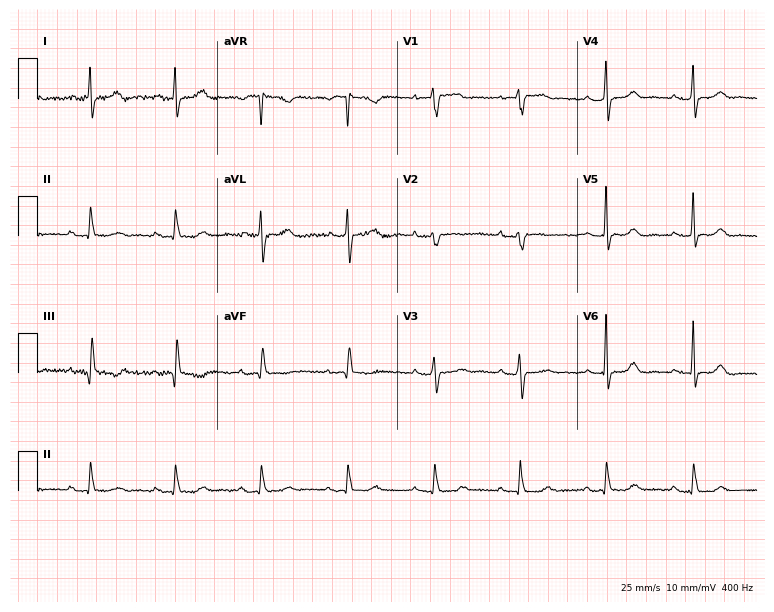
ECG — a 58-year-old woman. Screened for six findings — first-degree AV block, right bundle branch block, left bundle branch block, sinus bradycardia, atrial fibrillation, sinus tachycardia — none is recorded.